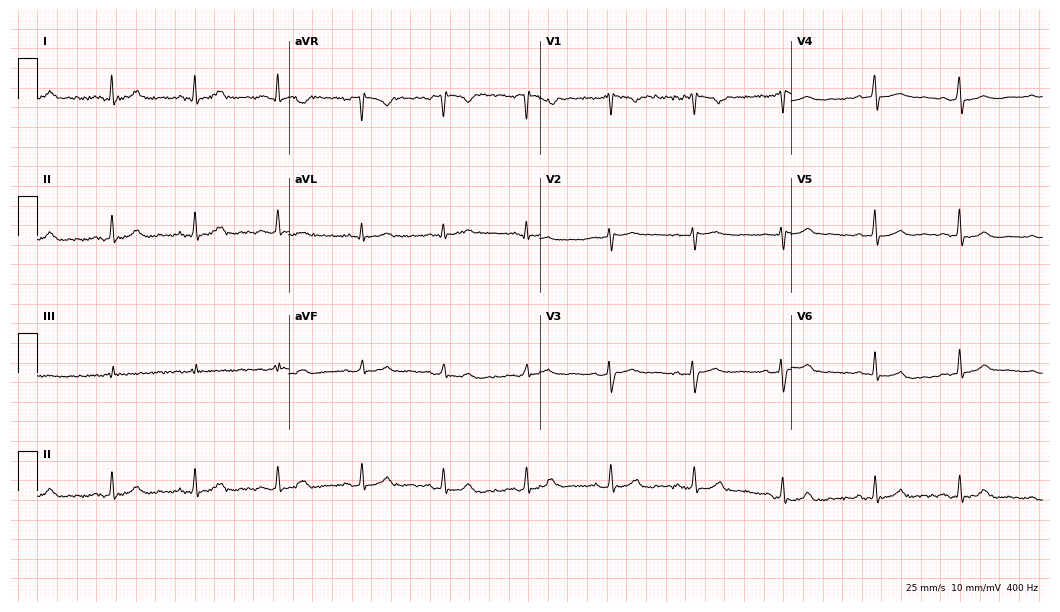
12-lead ECG from a female, 45 years old. No first-degree AV block, right bundle branch block, left bundle branch block, sinus bradycardia, atrial fibrillation or sinus tachycardia recorded for this tracing. Only these six findings were labelled.